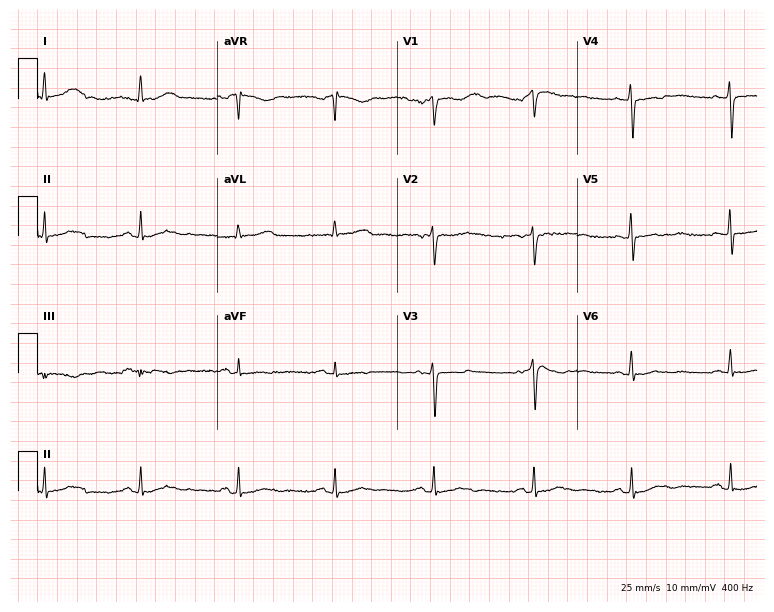
Resting 12-lead electrocardiogram (7.3-second recording at 400 Hz). Patient: a 58-year-old female. None of these six findings is recorded: first-degree AV block, right bundle branch block, left bundle branch block, sinus bradycardia, atrial fibrillation, sinus tachycardia.